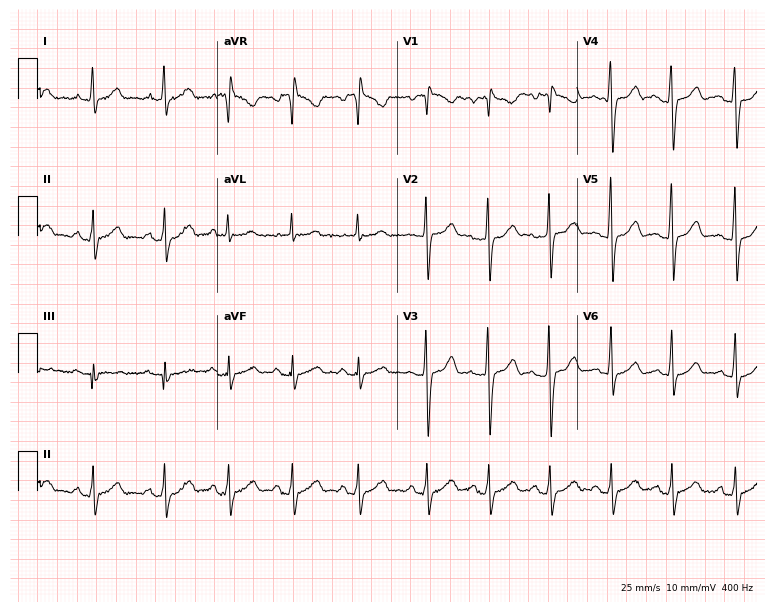
12-lead ECG from a 29-year-old woman. Recorded interpretation: within normal limits.